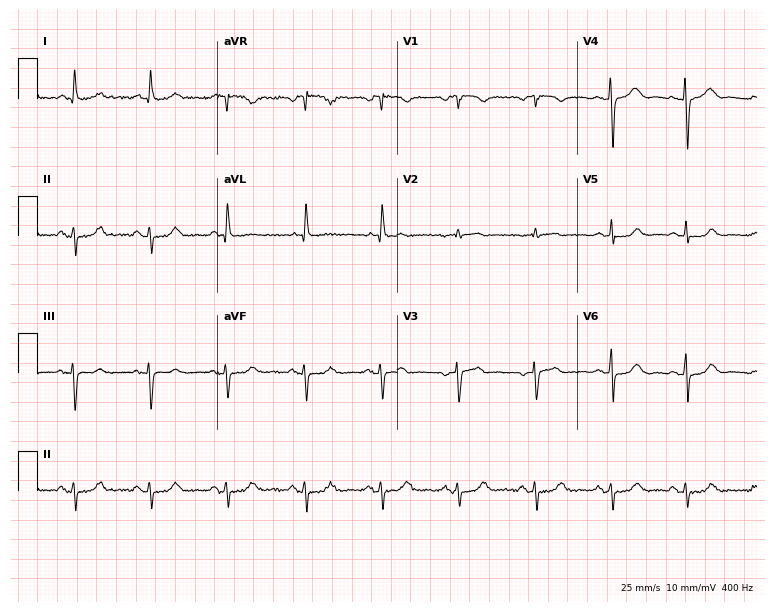
12-lead ECG from a 61-year-old female patient. No first-degree AV block, right bundle branch block, left bundle branch block, sinus bradycardia, atrial fibrillation or sinus tachycardia recorded for this tracing. Other findings, if any, are not listed.